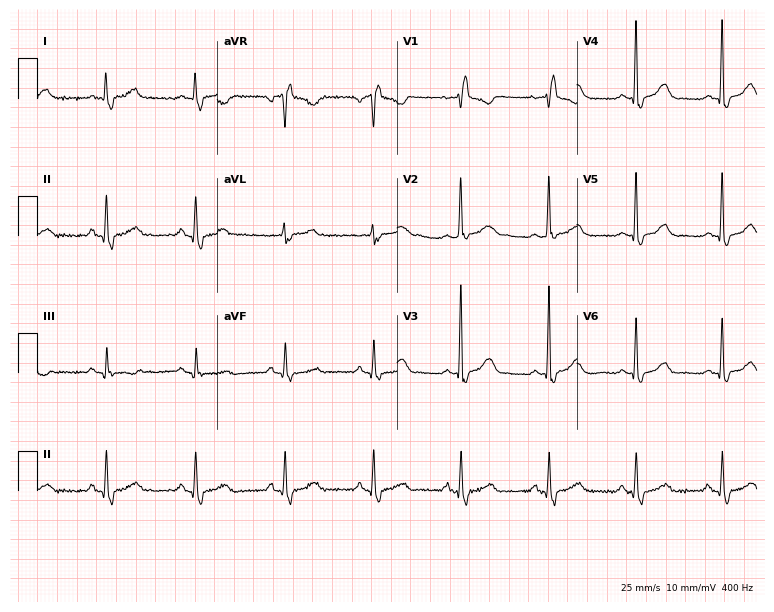
ECG (7.3-second recording at 400 Hz) — a 40-year-old female patient. Findings include right bundle branch block.